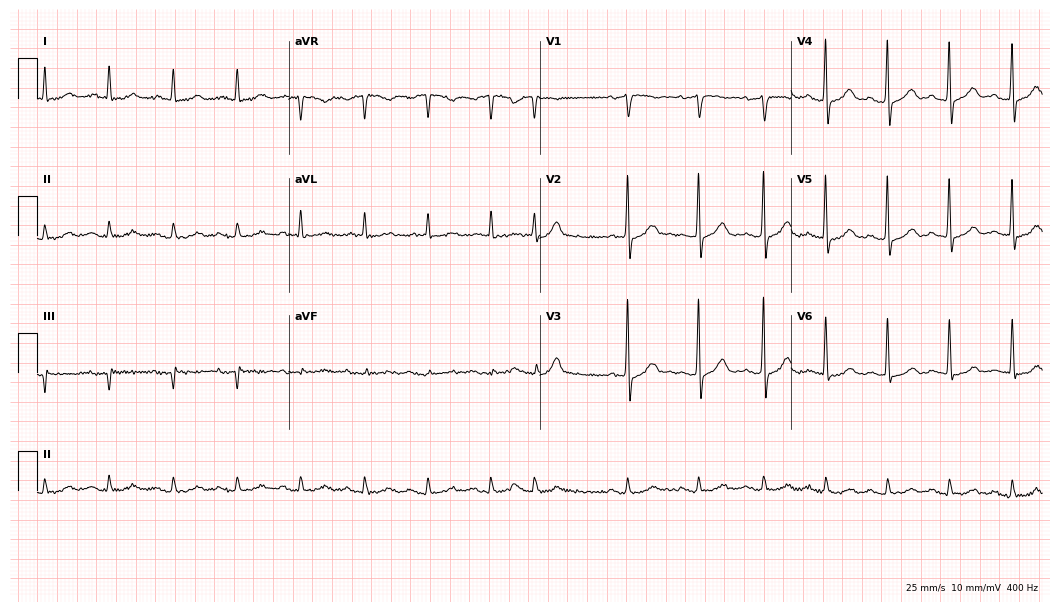
12-lead ECG from an 80-year-old male patient (10.2-second recording at 400 Hz). No first-degree AV block, right bundle branch block, left bundle branch block, sinus bradycardia, atrial fibrillation or sinus tachycardia recorded for this tracing. Only these six findings were labelled.